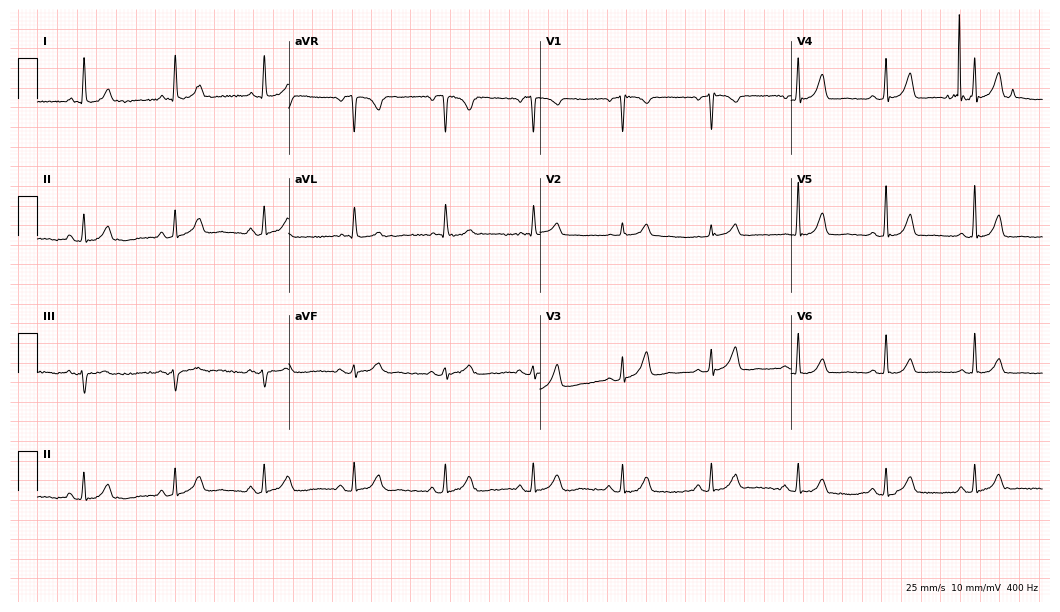
Electrocardiogram (10.2-second recording at 400 Hz), a female, 79 years old. Overall reading on record: normal ECG.